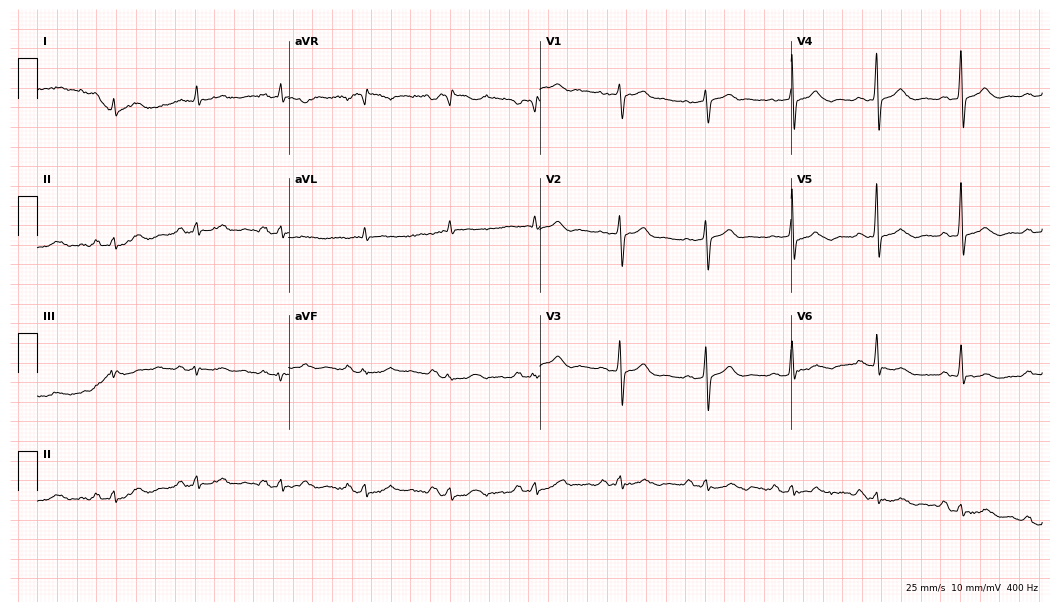
12-lead ECG from a 72-year-old male patient. Screened for six findings — first-degree AV block, right bundle branch block, left bundle branch block, sinus bradycardia, atrial fibrillation, sinus tachycardia — none is recorded. Findings outside these six are not listed.